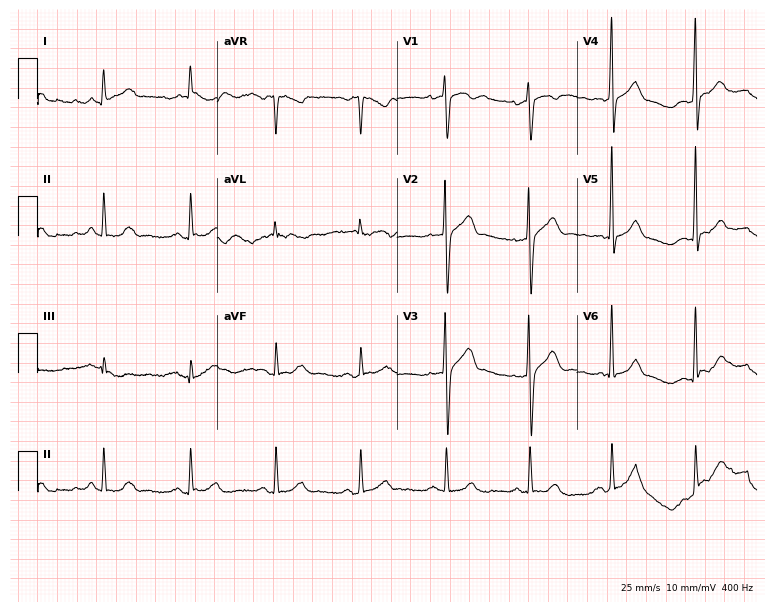
12-lead ECG from a man, 44 years old. Labelled as a normal ECG.